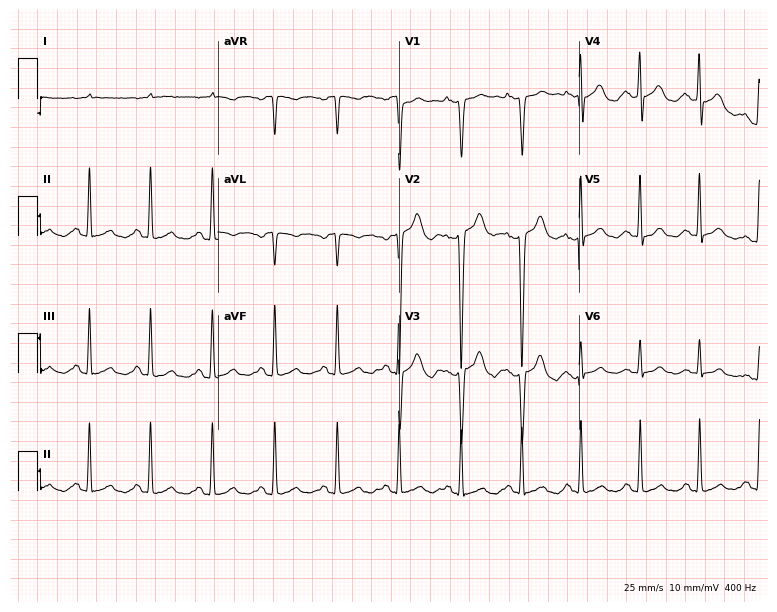
12-lead ECG from a male, 54 years old. Screened for six findings — first-degree AV block, right bundle branch block (RBBB), left bundle branch block (LBBB), sinus bradycardia, atrial fibrillation (AF), sinus tachycardia — none is recorded. Only these six findings were labelled.